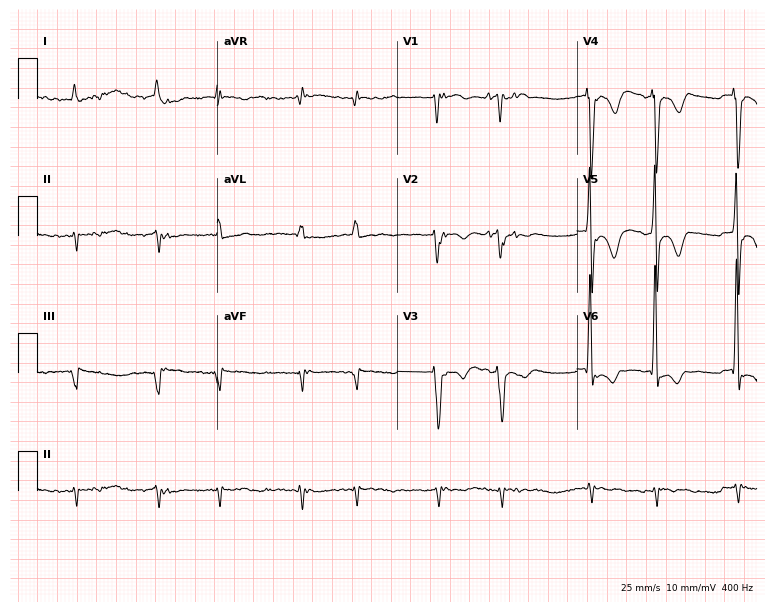
ECG — a man, 84 years old. Findings include atrial fibrillation.